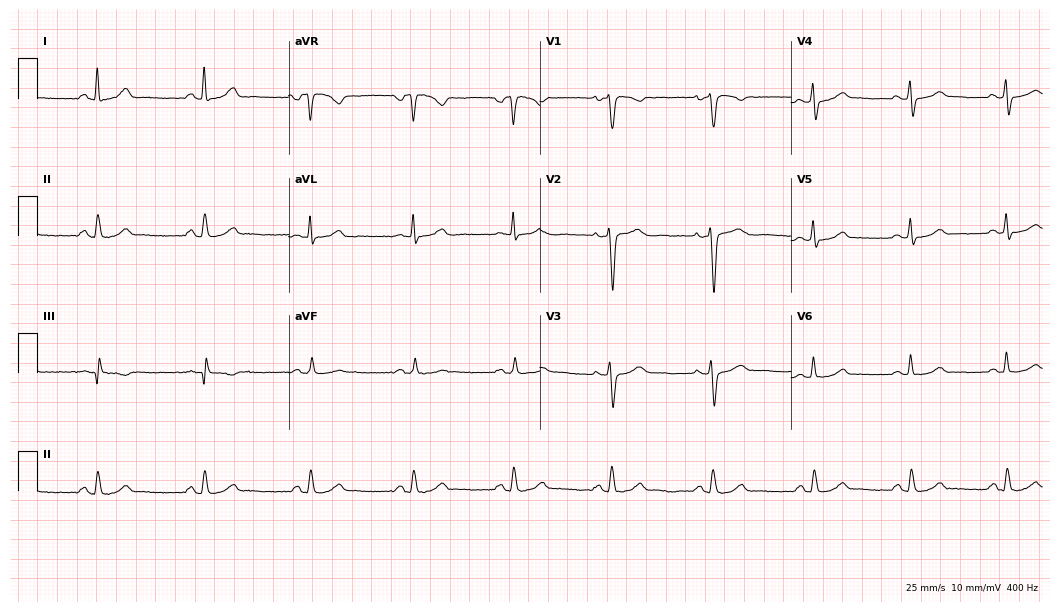
ECG (10.2-second recording at 400 Hz) — a female patient, 36 years old. Labelled as a normal ECG.